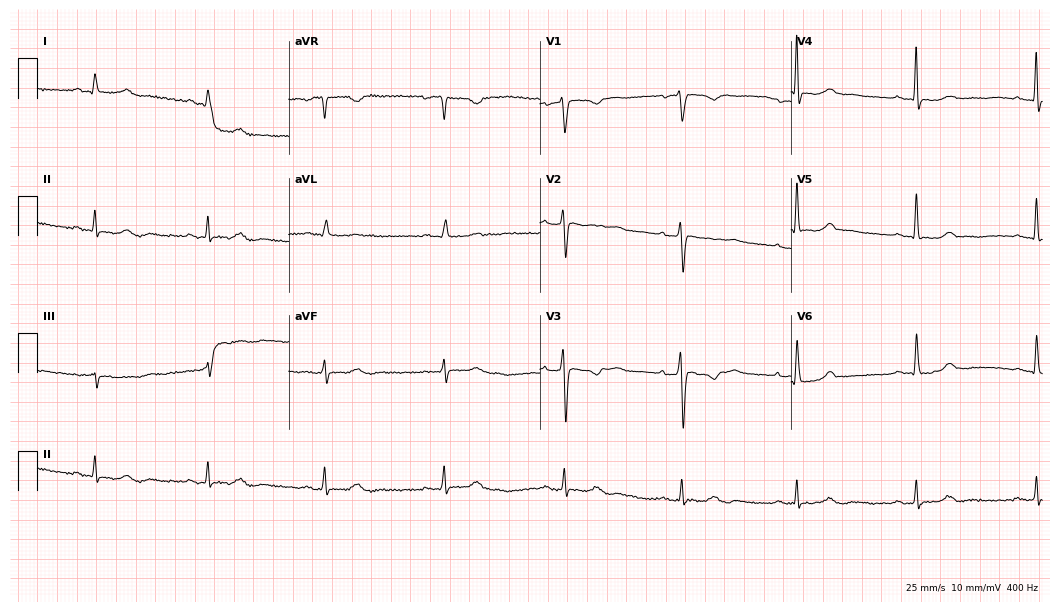
12-lead ECG from a 58-year-old female (10.2-second recording at 400 Hz). No first-degree AV block, right bundle branch block (RBBB), left bundle branch block (LBBB), sinus bradycardia, atrial fibrillation (AF) or sinus tachycardia recorded for this tracing.